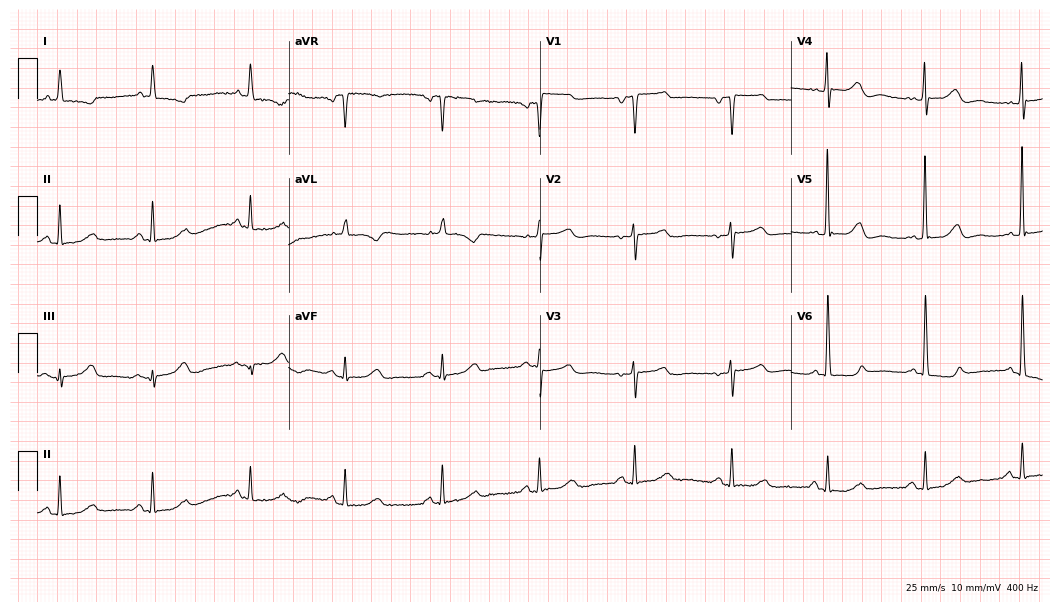
Standard 12-lead ECG recorded from a female patient, 81 years old. None of these six findings is recorded: first-degree AV block, right bundle branch block, left bundle branch block, sinus bradycardia, atrial fibrillation, sinus tachycardia. Only these six findings were labelled.